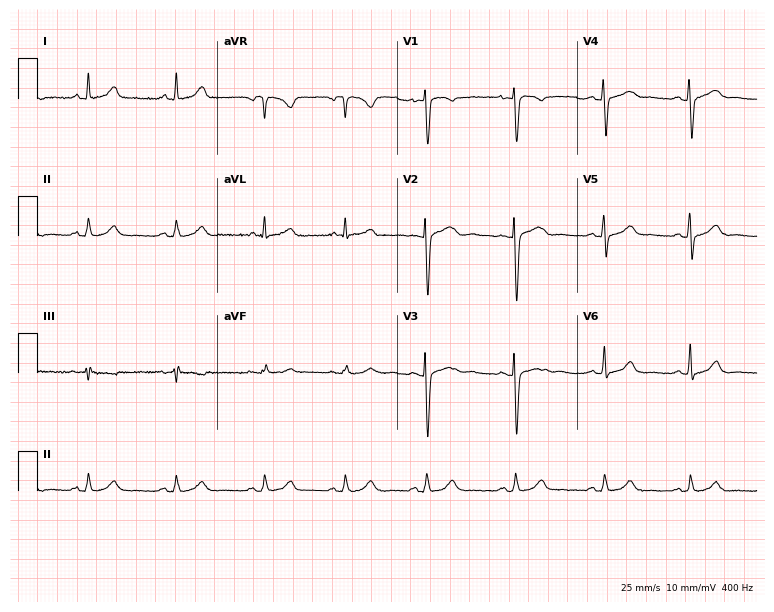
12-lead ECG (7.3-second recording at 400 Hz) from a woman, 32 years old. Screened for six findings — first-degree AV block, right bundle branch block, left bundle branch block, sinus bradycardia, atrial fibrillation, sinus tachycardia — none is recorded.